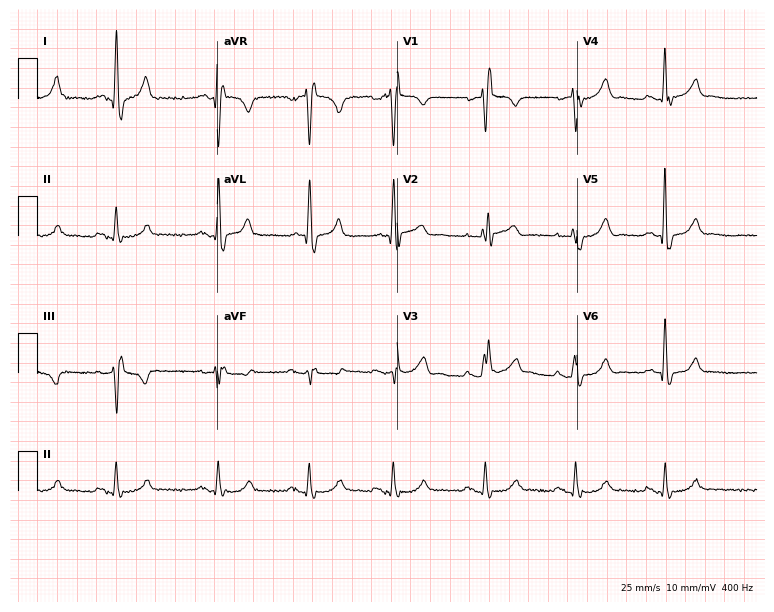
12-lead ECG from a 72-year-old male patient. Findings include right bundle branch block.